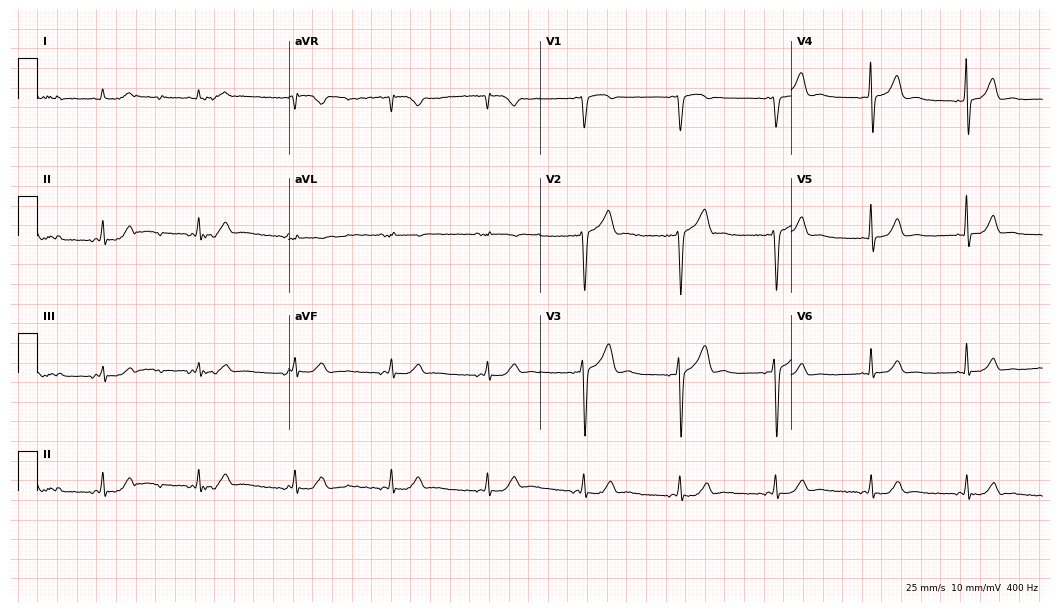
12-lead ECG from a 63-year-old man. Screened for six findings — first-degree AV block, right bundle branch block, left bundle branch block, sinus bradycardia, atrial fibrillation, sinus tachycardia — none is recorded.